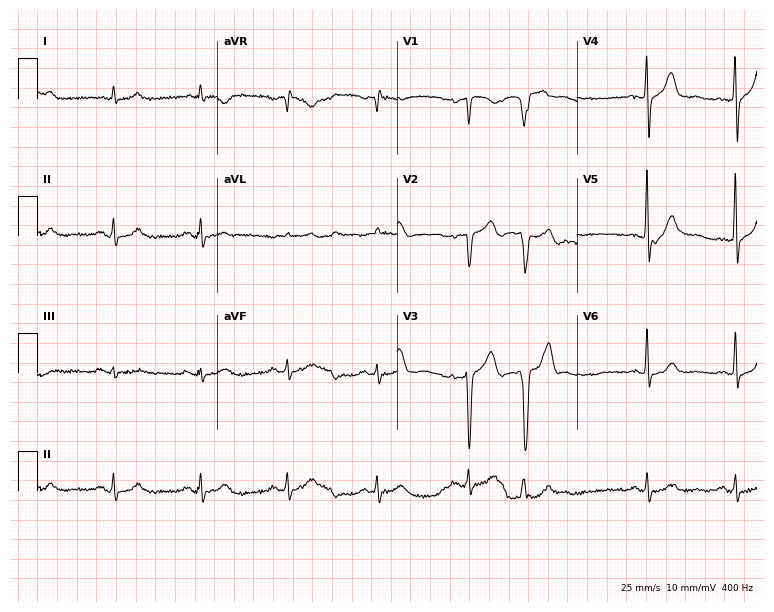
Electrocardiogram, a 74-year-old male. Of the six screened findings (first-degree AV block, right bundle branch block, left bundle branch block, sinus bradycardia, atrial fibrillation, sinus tachycardia), none is recorded. Findings outside these six are not listed.